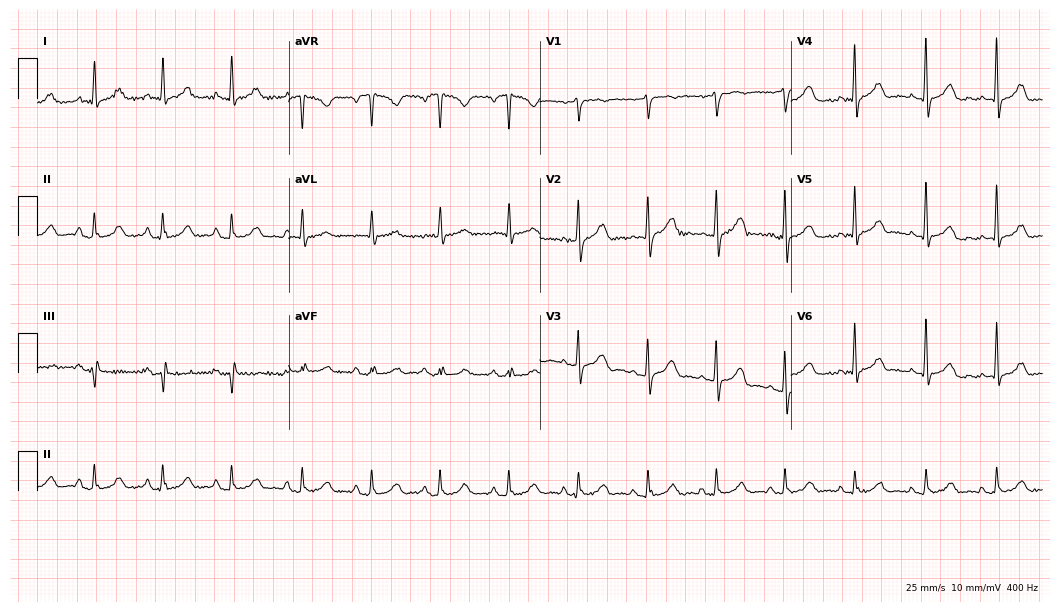
Standard 12-lead ECG recorded from a 78-year-old female (10.2-second recording at 400 Hz). Read as a normal ECG.